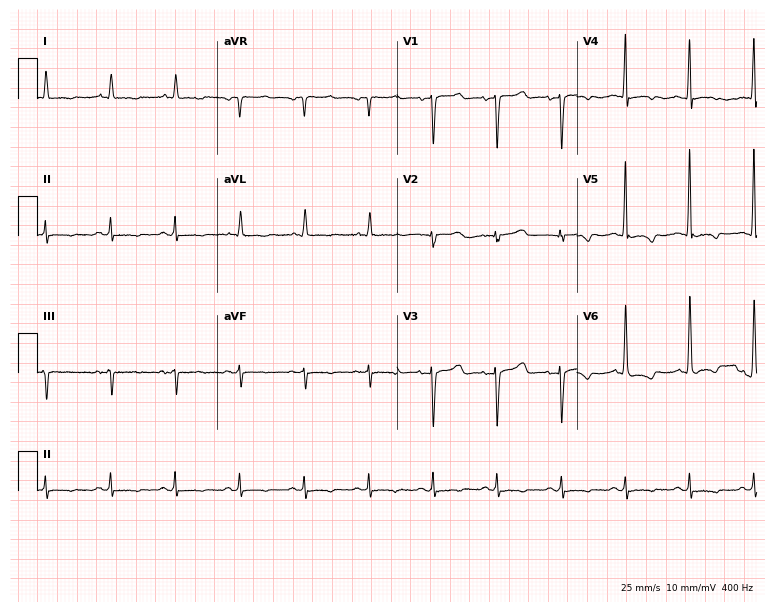
Resting 12-lead electrocardiogram (7.3-second recording at 400 Hz). Patient: a 74-year-old female. None of these six findings is recorded: first-degree AV block, right bundle branch block, left bundle branch block, sinus bradycardia, atrial fibrillation, sinus tachycardia.